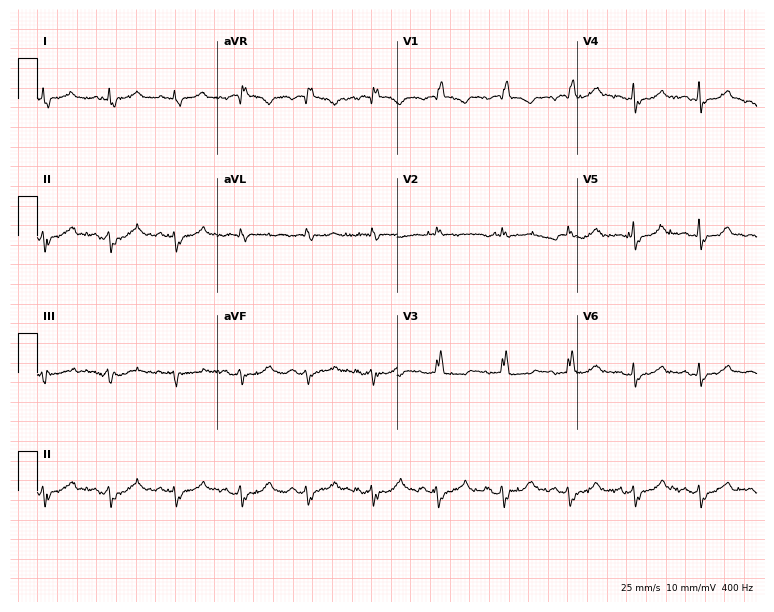
Resting 12-lead electrocardiogram (7.3-second recording at 400 Hz). Patient: a woman, 84 years old. None of these six findings is recorded: first-degree AV block, right bundle branch block, left bundle branch block, sinus bradycardia, atrial fibrillation, sinus tachycardia. Findings outside these six are not listed.